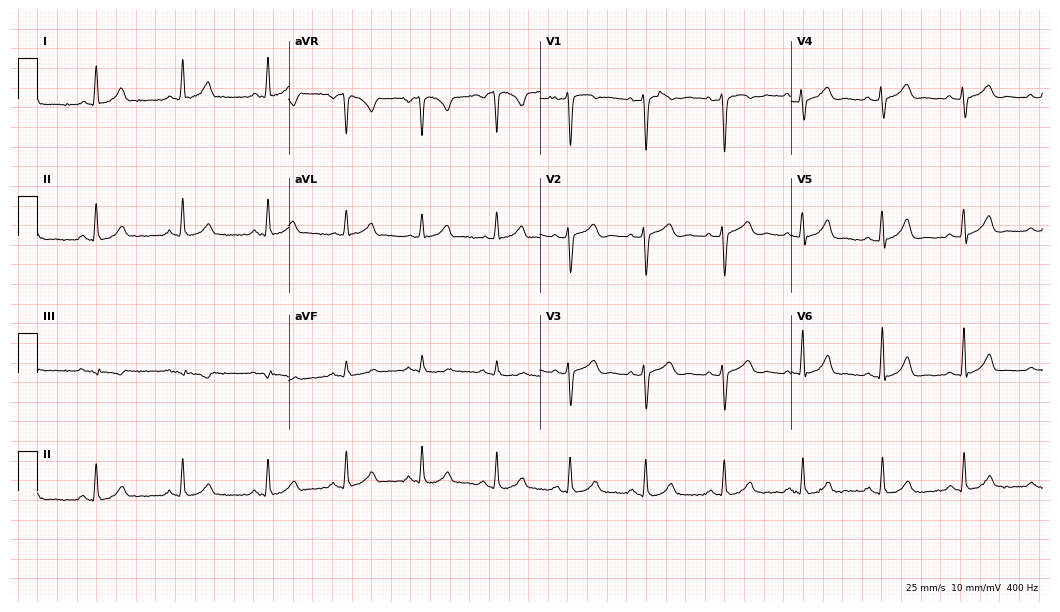
Resting 12-lead electrocardiogram (10.2-second recording at 400 Hz). Patient: a female, 38 years old. Read as a normal ECG.